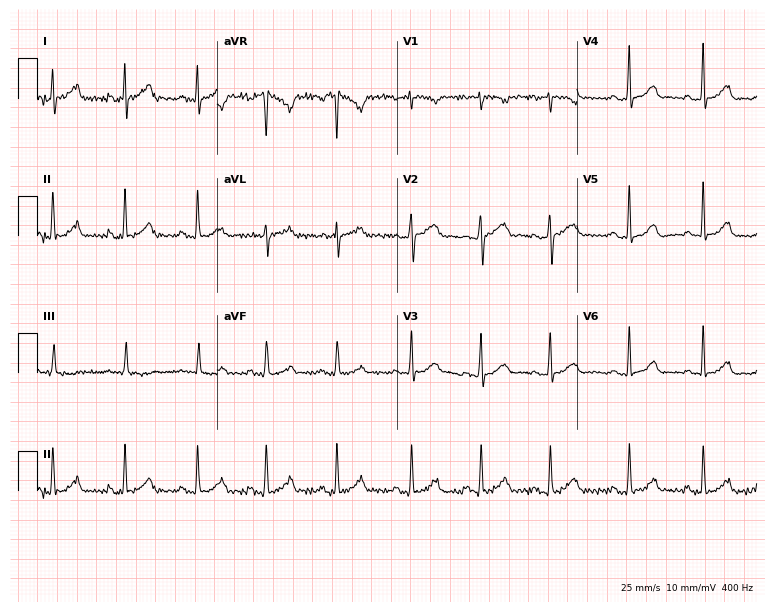
Electrocardiogram (7.3-second recording at 400 Hz), a woman, 31 years old. Overall reading on record: normal ECG.